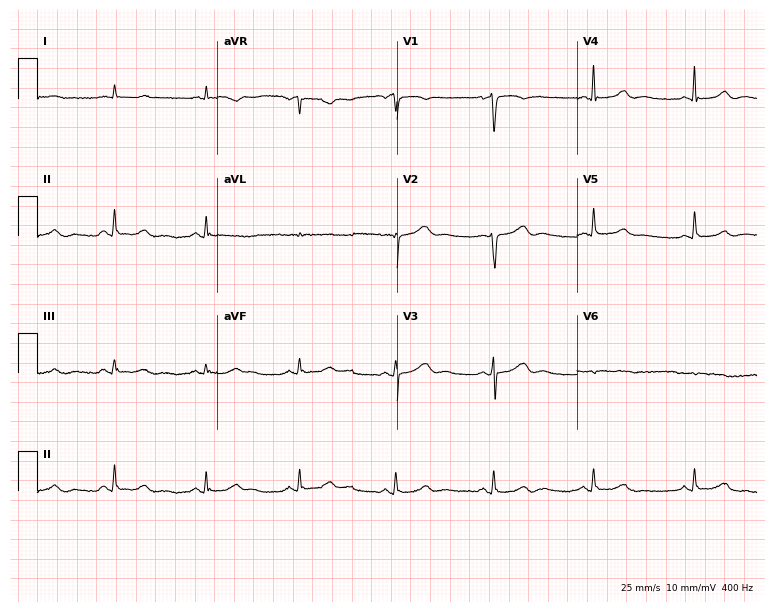
Electrocardiogram (7.3-second recording at 400 Hz), a female patient, 63 years old. Overall reading on record: normal ECG.